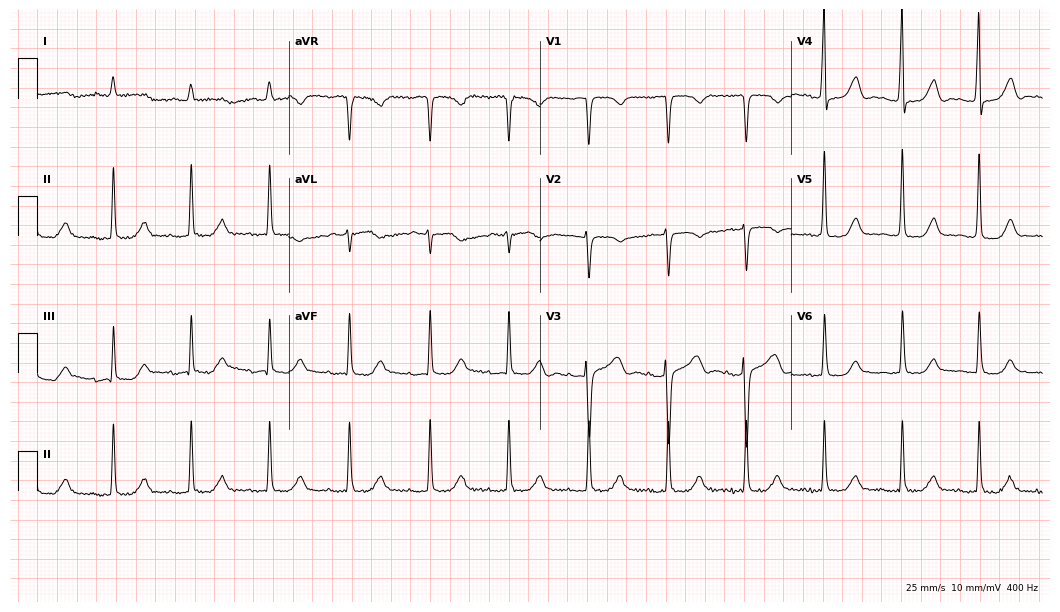
Resting 12-lead electrocardiogram (10.2-second recording at 400 Hz). Patient: a 61-year-old woman. None of these six findings is recorded: first-degree AV block, right bundle branch block, left bundle branch block, sinus bradycardia, atrial fibrillation, sinus tachycardia. Other findings, if any, are not listed.